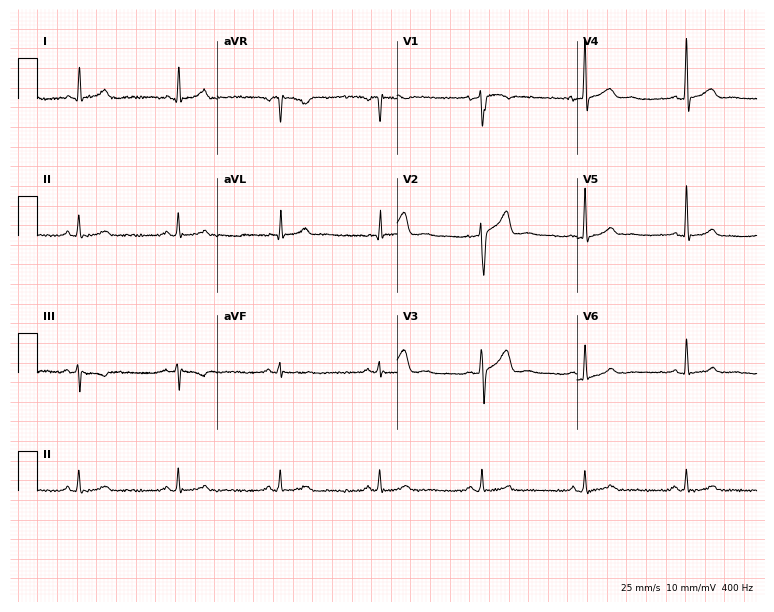
12-lead ECG from a 35-year-old male (7.3-second recording at 400 Hz). Recorded interpretation: within normal limits.